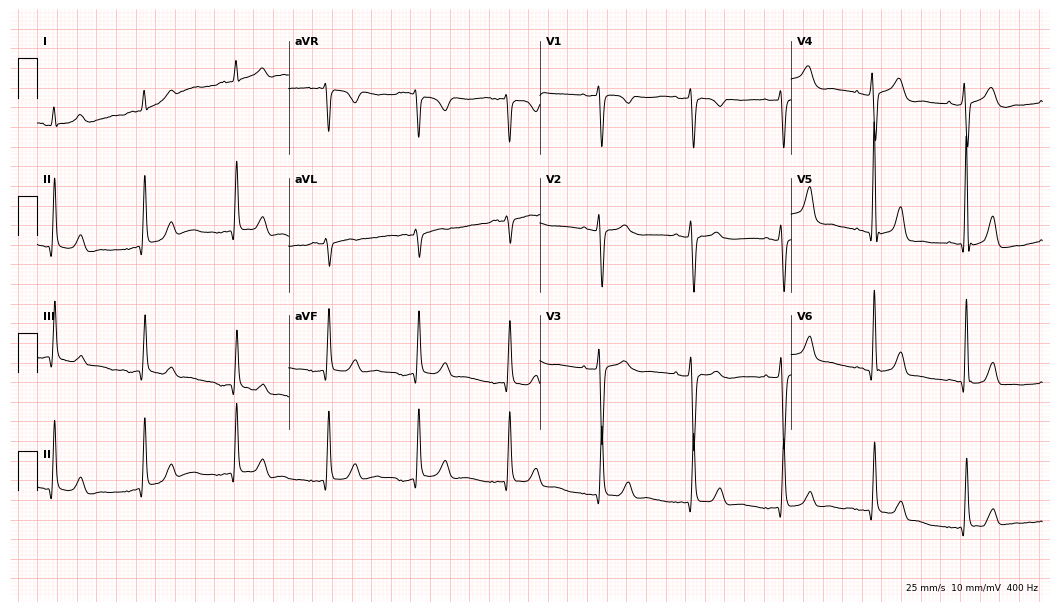
12-lead ECG from a male, 40 years old. Screened for six findings — first-degree AV block, right bundle branch block, left bundle branch block, sinus bradycardia, atrial fibrillation, sinus tachycardia — none is recorded.